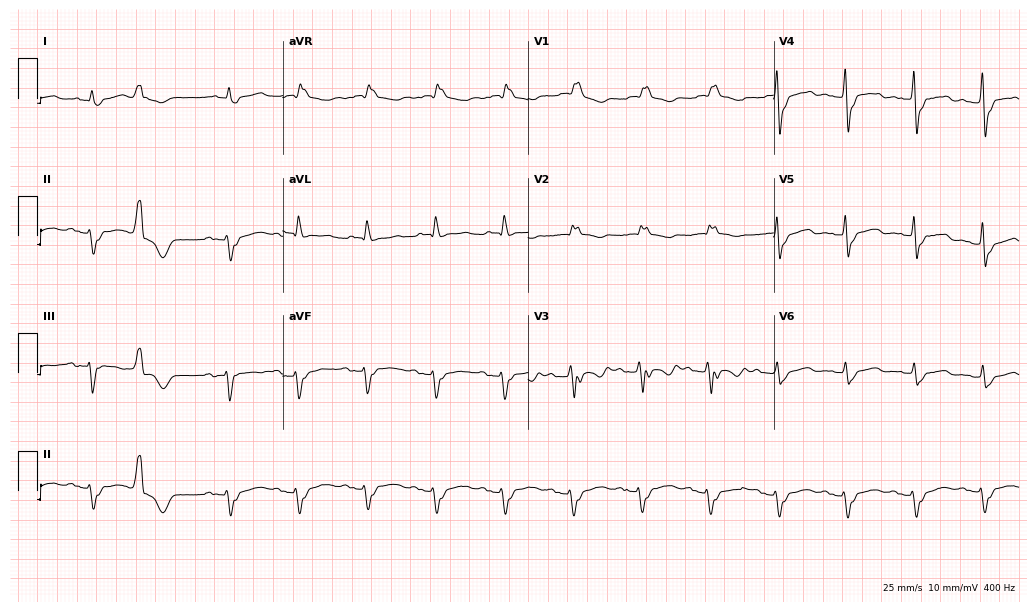
ECG (10-second recording at 400 Hz) — a male, 78 years old. Findings include right bundle branch block.